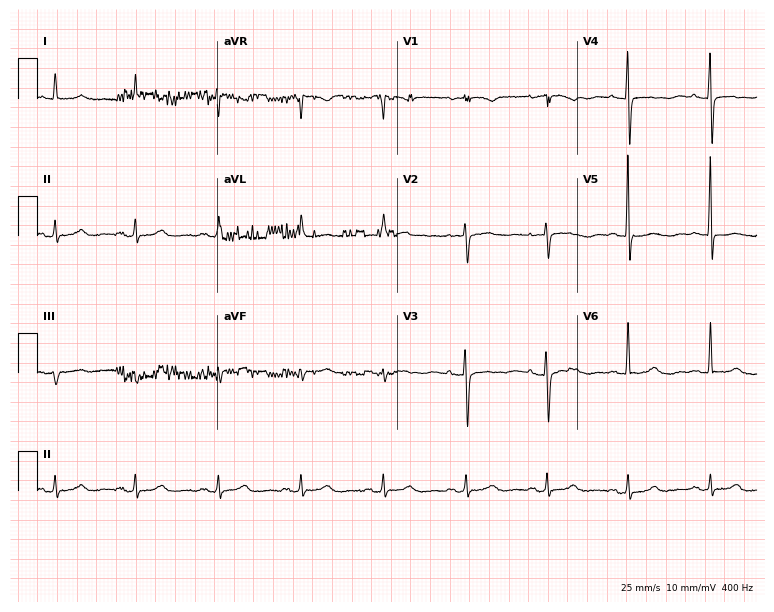
ECG (7.3-second recording at 400 Hz) — a 66-year-old woman. Screened for six findings — first-degree AV block, right bundle branch block, left bundle branch block, sinus bradycardia, atrial fibrillation, sinus tachycardia — none is recorded. Other findings, if any, are not listed.